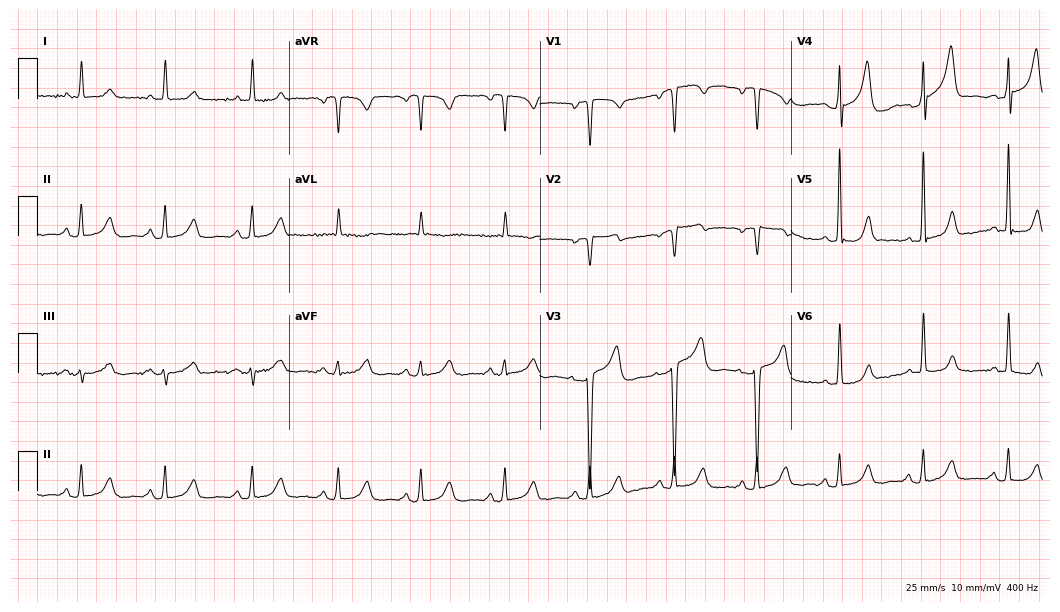
12-lead ECG from a female patient, 52 years old. Recorded interpretation: within normal limits.